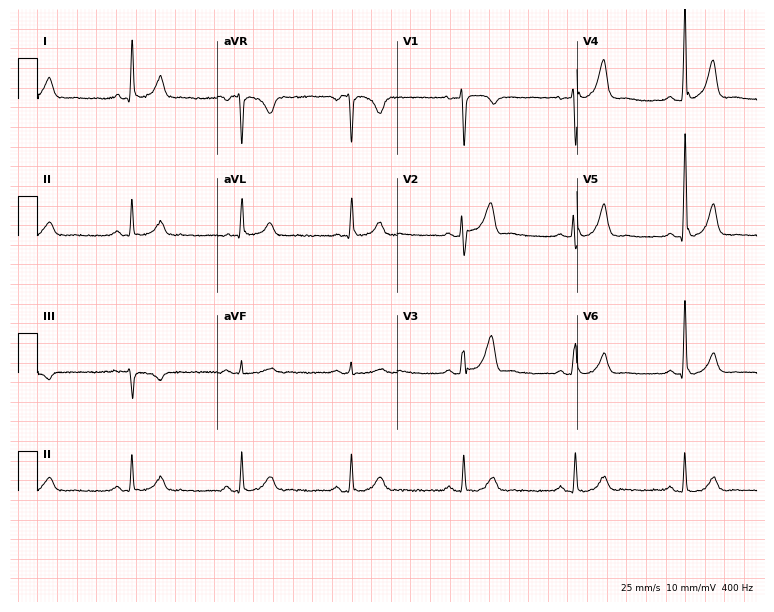
Resting 12-lead electrocardiogram (7.3-second recording at 400 Hz). Patient: a male, 50 years old. Read as a normal ECG.